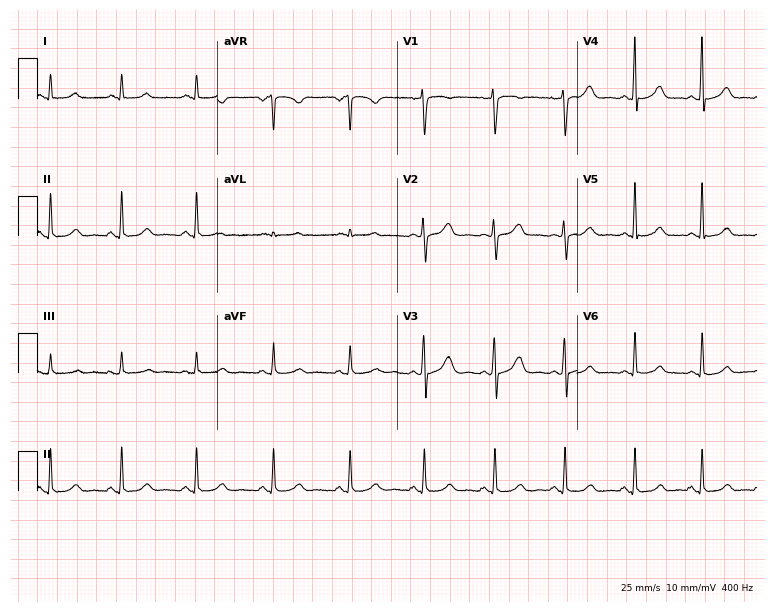
12-lead ECG from a 45-year-old female. Recorded interpretation: within normal limits.